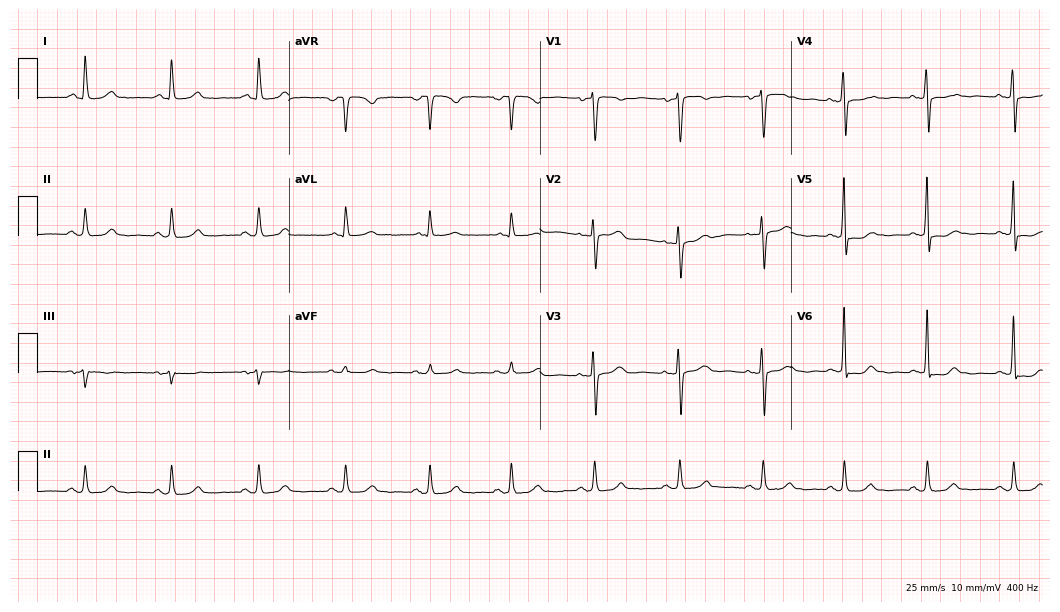
Standard 12-lead ECG recorded from a female, 68 years old (10.2-second recording at 400 Hz). Read as a normal ECG.